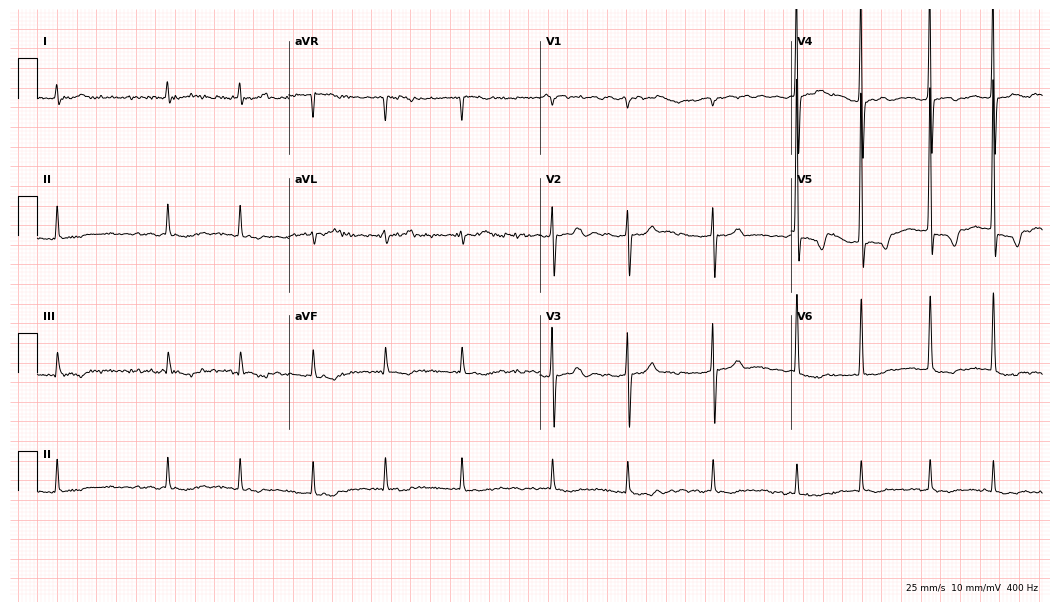
ECG — an 83-year-old woman. Findings include atrial fibrillation.